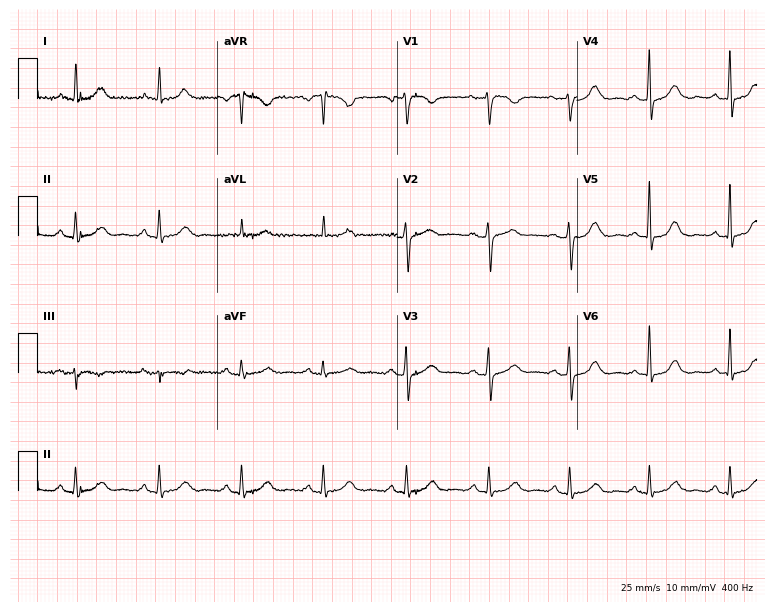
Electrocardiogram, a 78-year-old female patient. Overall reading on record: normal ECG.